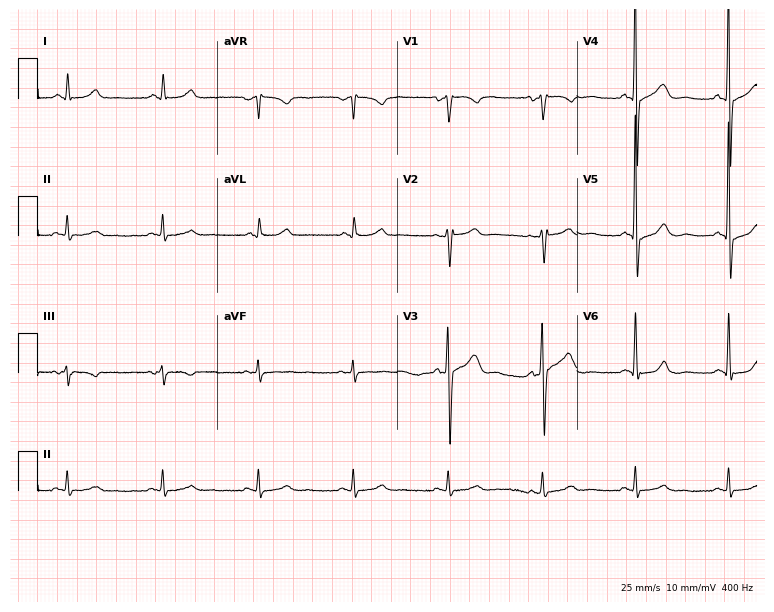
Resting 12-lead electrocardiogram. Patient: a male, 75 years old. Read as a normal ECG.